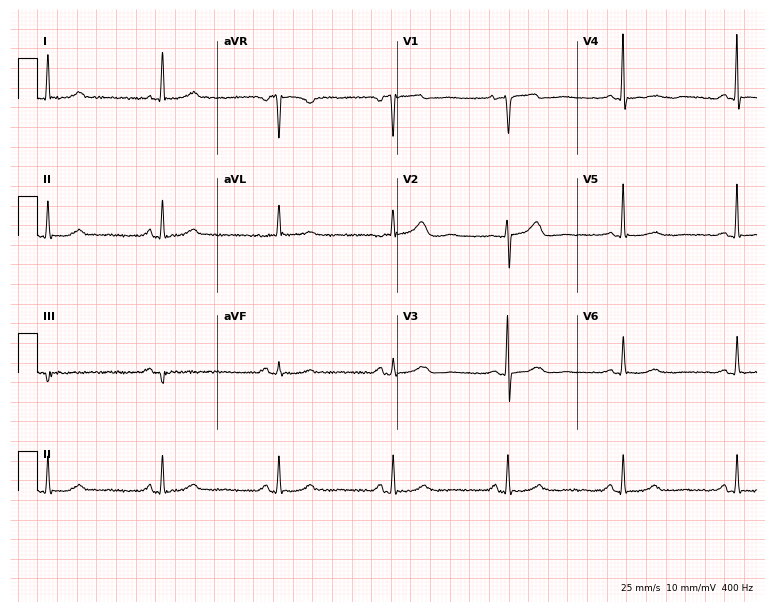
Standard 12-lead ECG recorded from a 71-year-old female (7.3-second recording at 400 Hz). Read as a normal ECG.